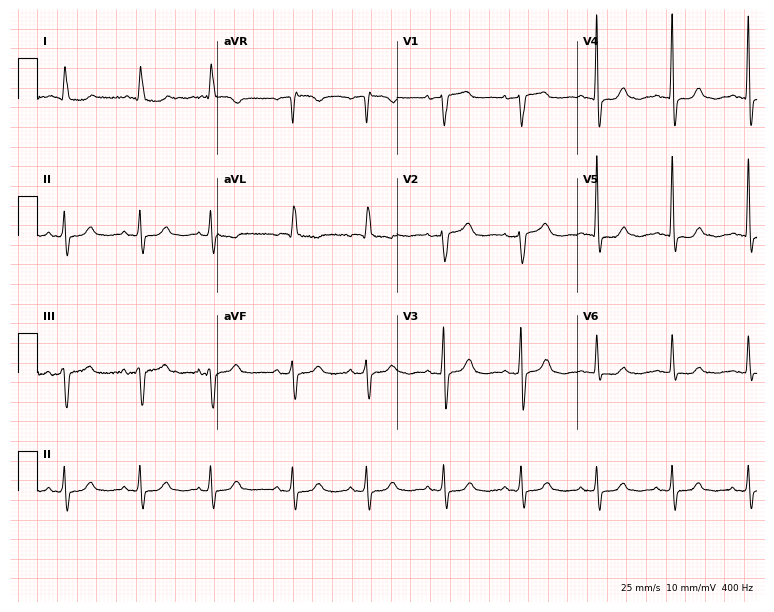
Standard 12-lead ECG recorded from an 80-year-old woman. Read as a normal ECG.